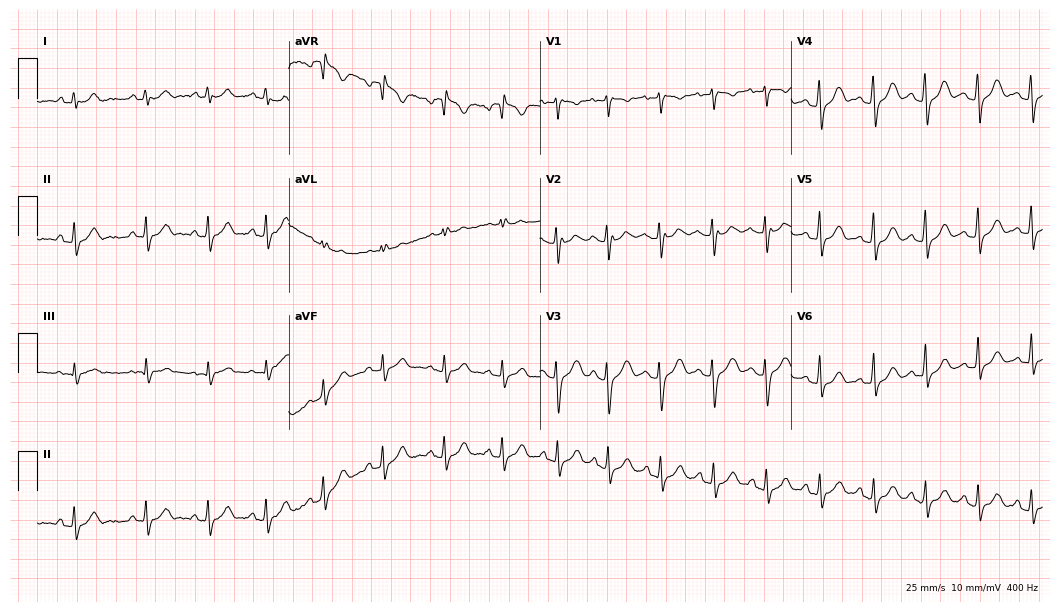
ECG (10.2-second recording at 400 Hz) — a female patient, 28 years old. Labelled as a normal ECG.